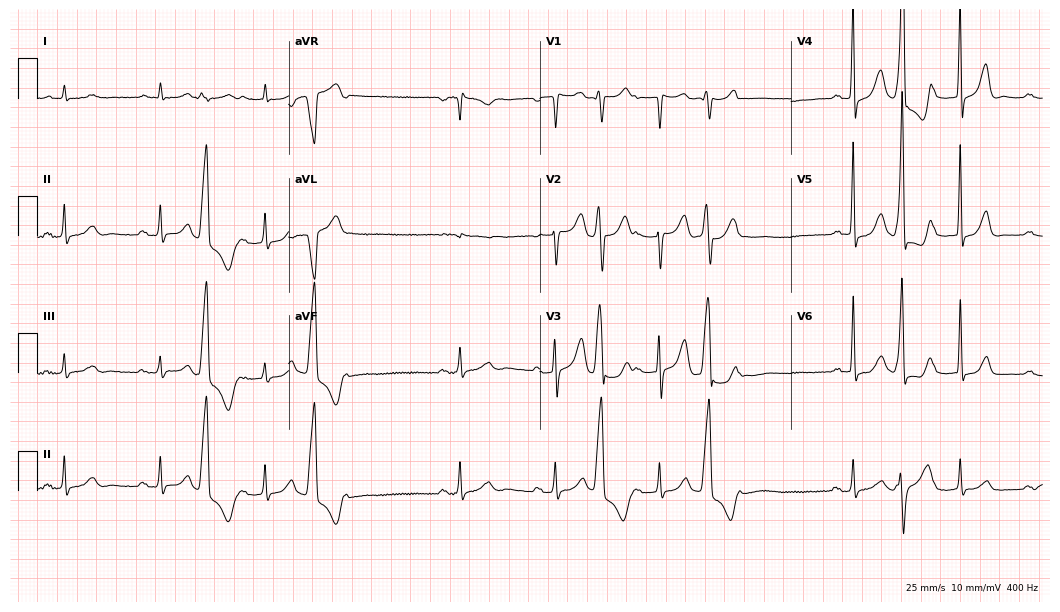
12-lead ECG from a male patient, 78 years old. No first-degree AV block, right bundle branch block (RBBB), left bundle branch block (LBBB), sinus bradycardia, atrial fibrillation (AF) or sinus tachycardia recorded for this tracing.